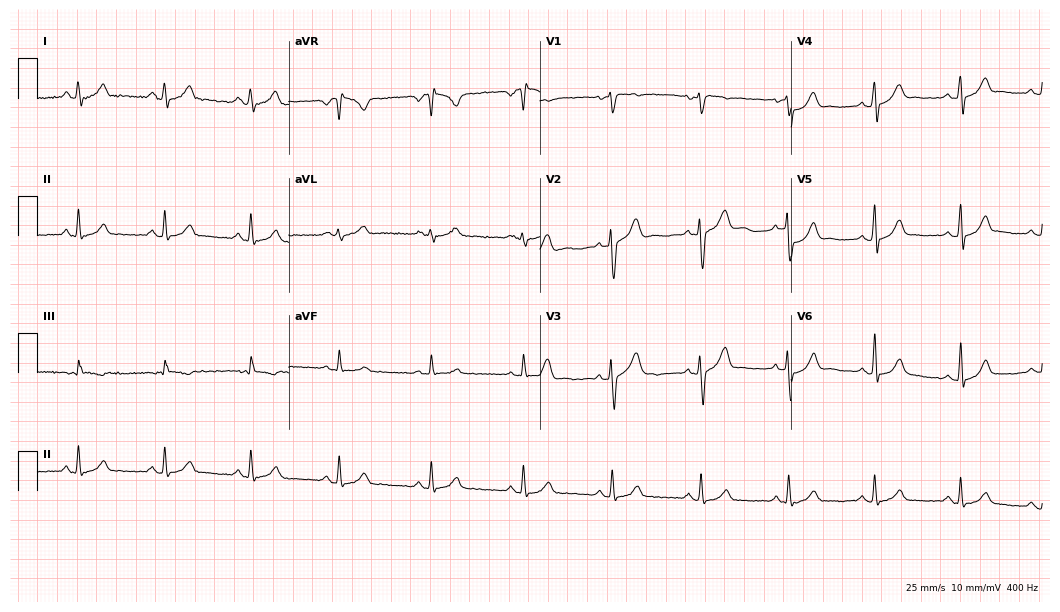
12-lead ECG (10.2-second recording at 400 Hz) from a 25-year-old man. Labelled as a normal ECG.